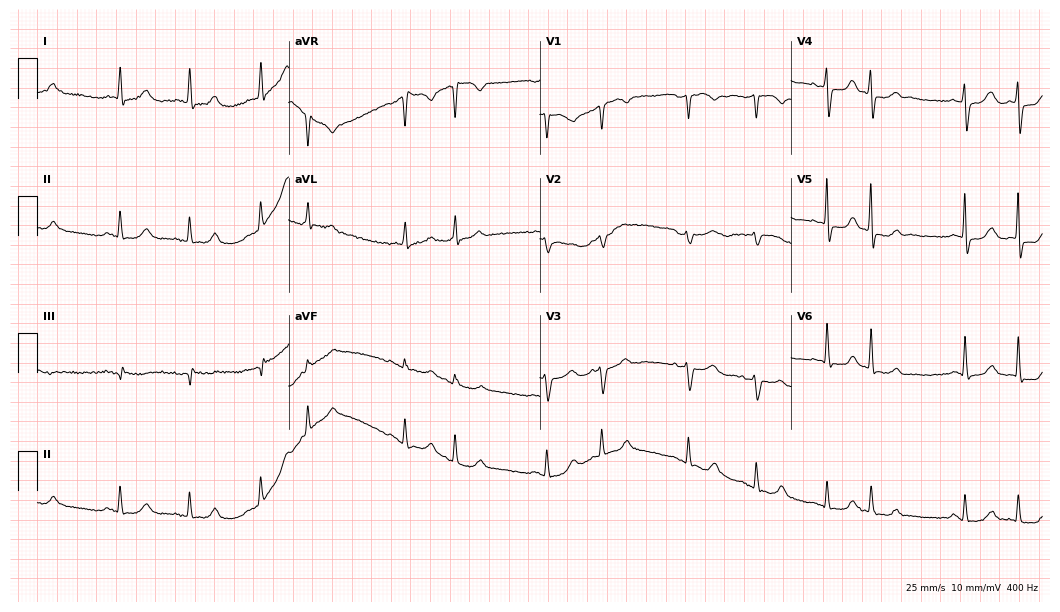
12-lead ECG from a 71-year-old woman (10.2-second recording at 400 Hz). No first-degree AV block, right bundle branch block (RBBB), left bundle branch block (LBBB), sinus bradycardia, atrial fibrillation (AF) or sinus tachycardia recorded for this tracing. Other findings, if any, are not listed.